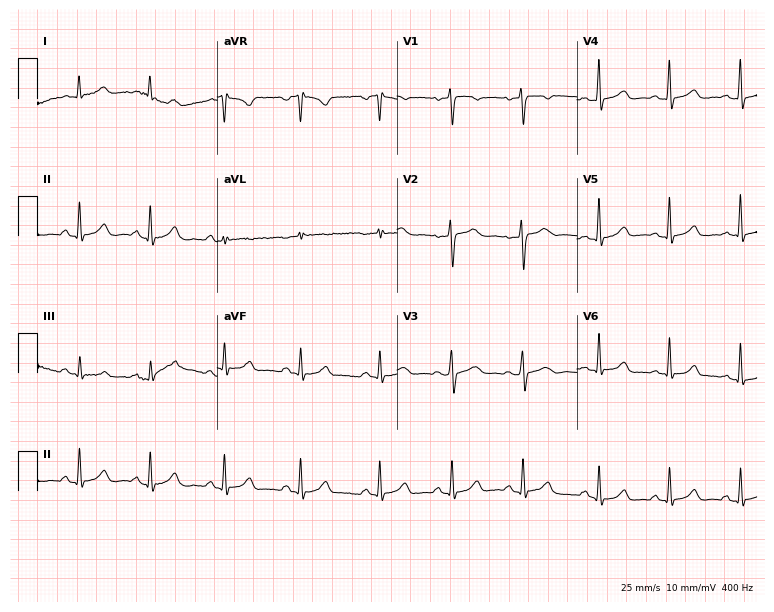
Electrocardiogram (7.3-second recording at 400 Hz), a female patient, 46 years old. Of the six screened findings (first-degree AV block, right bundle branch block, left bundle branch block, sinus bradycardia, atrial fibrillation, sinus tachycardia), none is recorded.